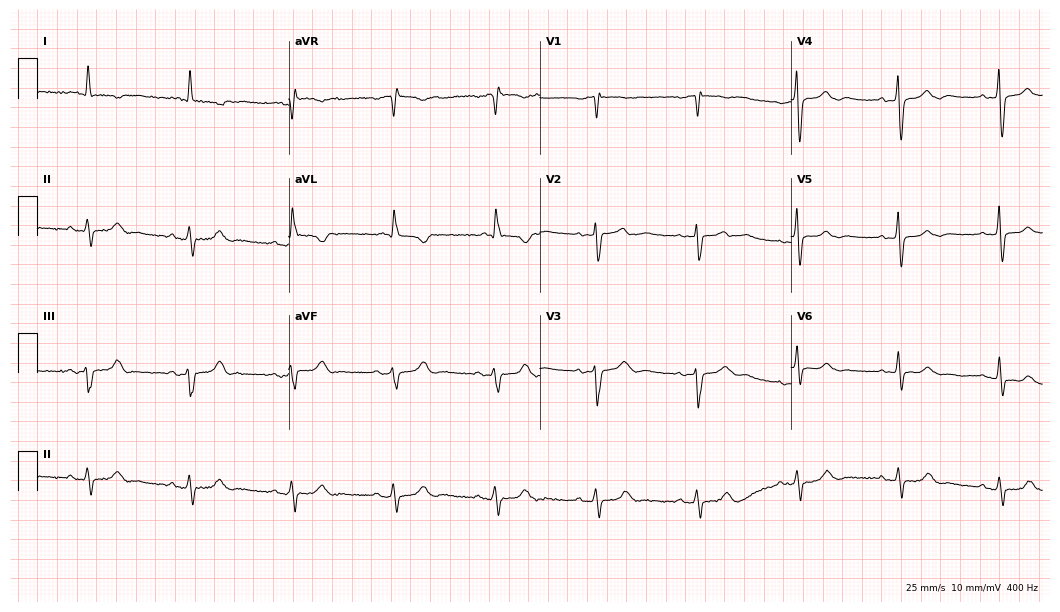
Standard 12-lead ECG recorded from a 76-year-old female patient. None of these six findings is recorded: first-degree AV block, right bundle branch block, left bundle branch block, sinus bradycardia, atrial fibrillation, sinus tachycardia. Findings outside these six are not listed.